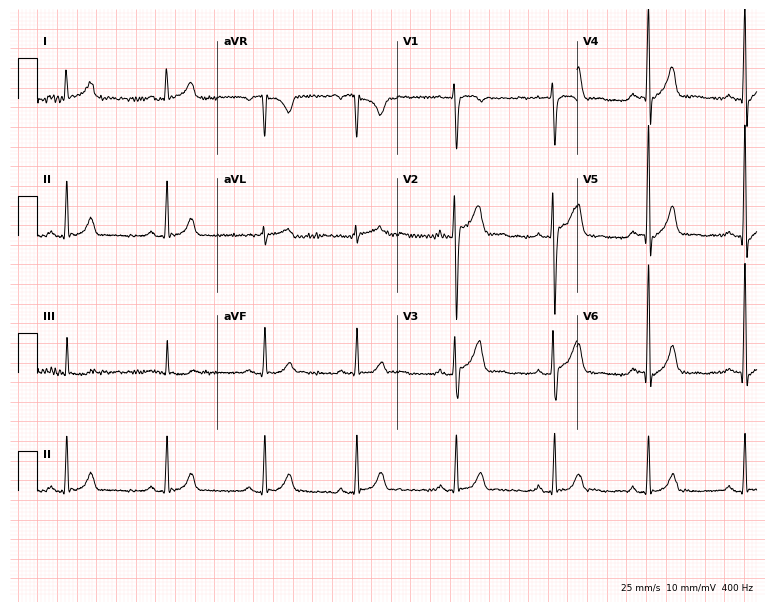
Electrocardiogram (7.3-second recording at 400 Hz), a 28-year-old man. Overall reading on record: normal ECG.